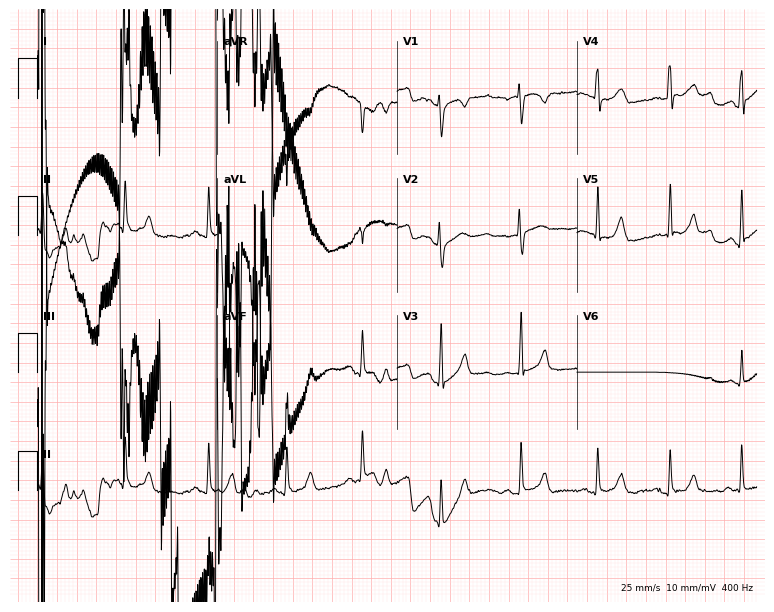
Standard 12-lead ECG recorded from a female, 20 years old. None of these six findings is recorded: first-degree AV block, right bundle branch block, left bundle branch block, sinus bradycardia, atrial fibrillation, sinus tachycardia.